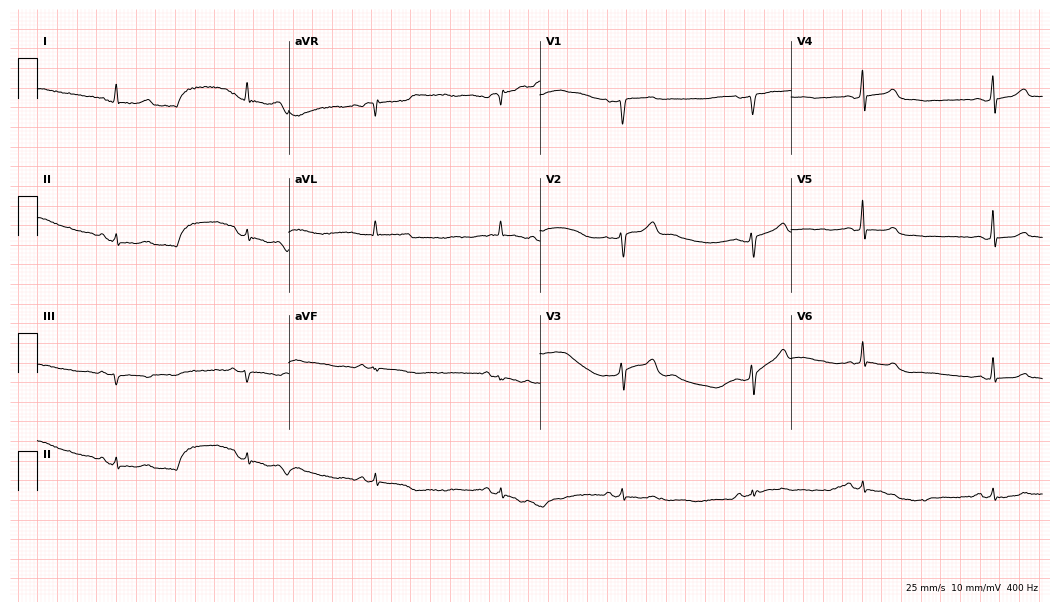
Electrocardiogram, a 31-year-old woman. Interpretation includes sinus bradycardia (a sinus rate of 50 beats per minute or less).